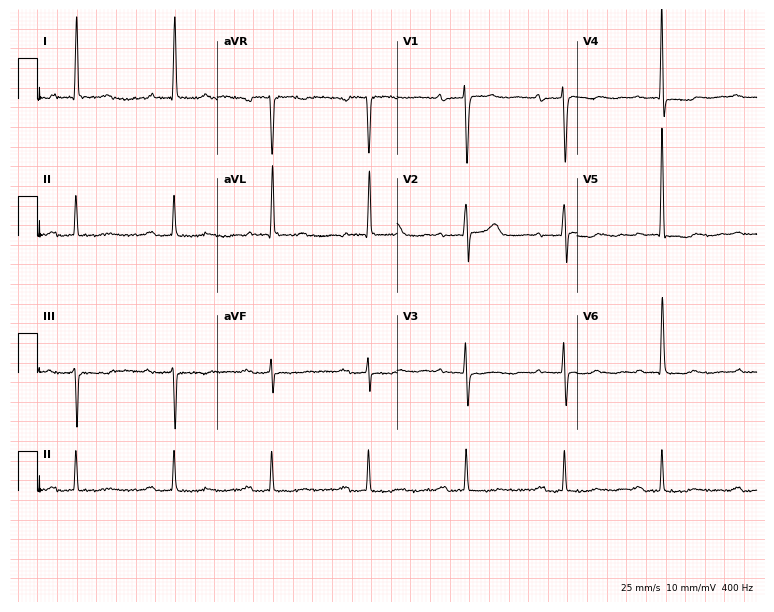
12-lead ECG from a female, 83 years old. Findings include first-degree AV block.